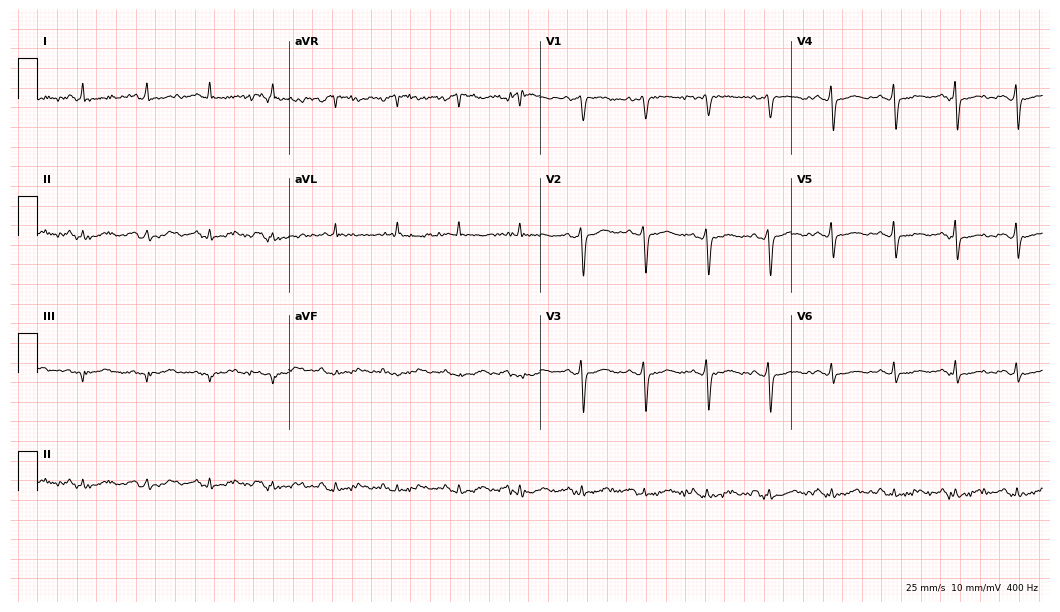
12-lead ECG from a female, 52 years old. Screened for six findings — first-degree AV block, right bundle branch block, left bundle branch block, sinus bradycardia, atrial fibrillation, sinus tachycardia — none is recorded.